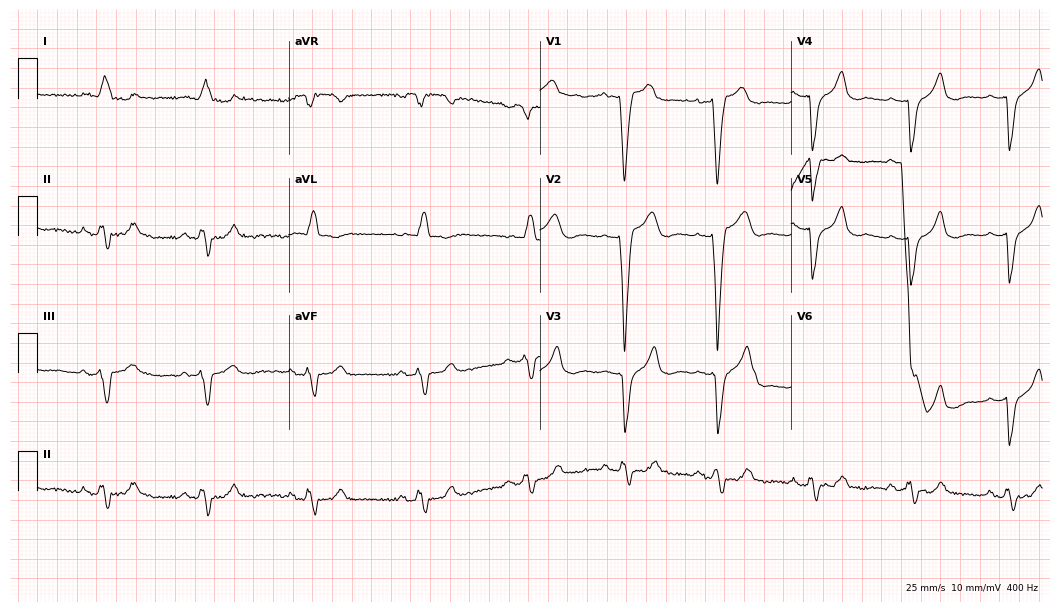
ECG (10.2-second recording at 400 Hz) — an 82-year-old man. Findings include left bundle branch block.